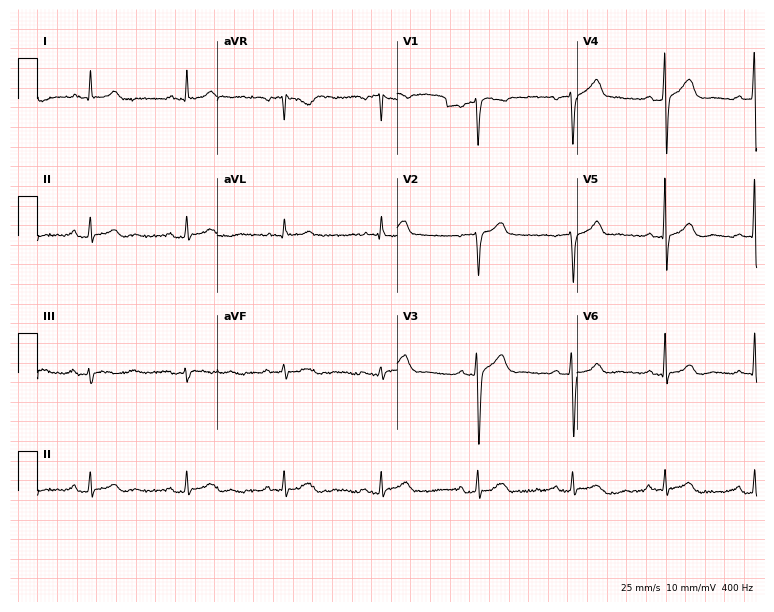
Resting 12-lead electrocardiogram (7.3-second recording at 400 Hz). Patient: a 44-year-old man. Read as a normal ECG.